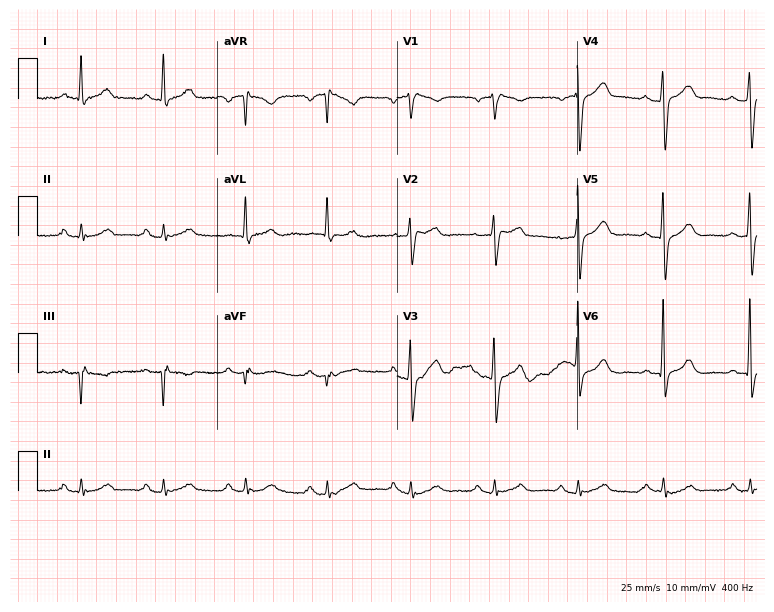
Resting 12-lead electrocardiogram. Patient: a 69-year-old male. Read as a normal ECG.